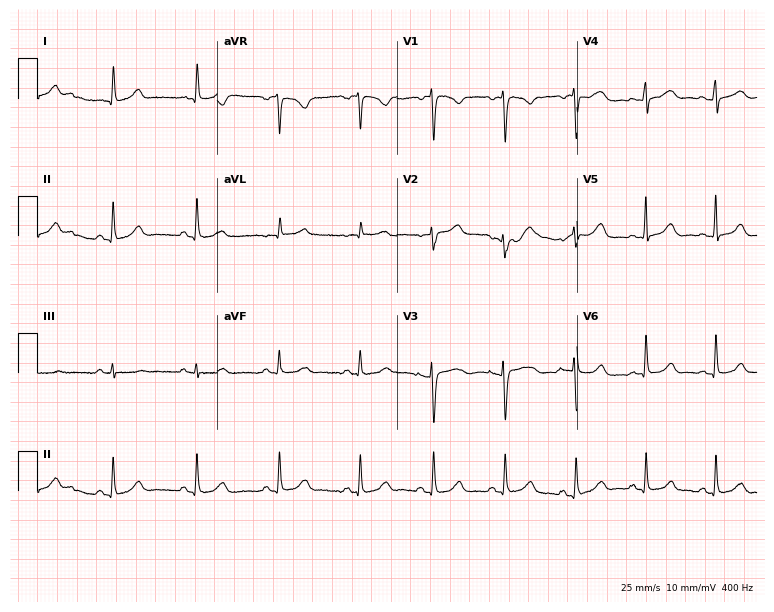
ECG (7.3-second recording at 400 Hz) — a 40-year-old female patient. Labelled as a normal ECG.